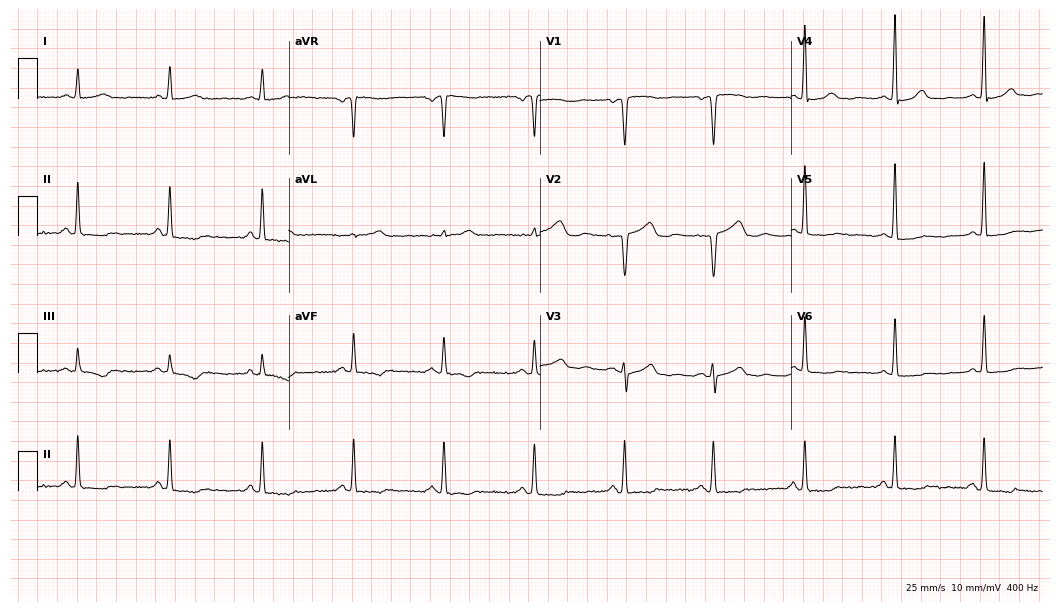
12-lead ECG (10.2-second recording at 400 Hz) from an 80-year-old female patient. Screened for six findings — first-degree AV block, right bundle branch block, left bundle branch block, sinus bradycardia, atrial fibrillation, sinus tachycardia — none is recorded. Only these six findings were labelled.